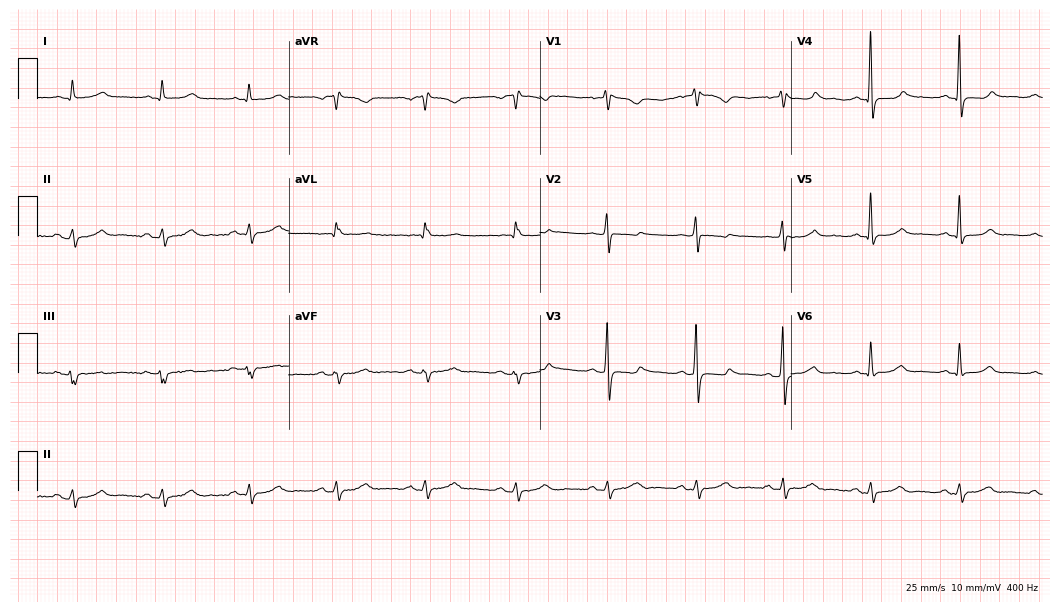
12-lead ECG from a 57-year-old female. Screened for six findings — first-degree AV block, right bundle branch block, left bundle branch block, sinus bradycardia, atrial fibrillation, sinus tachycardia — none is recorded.